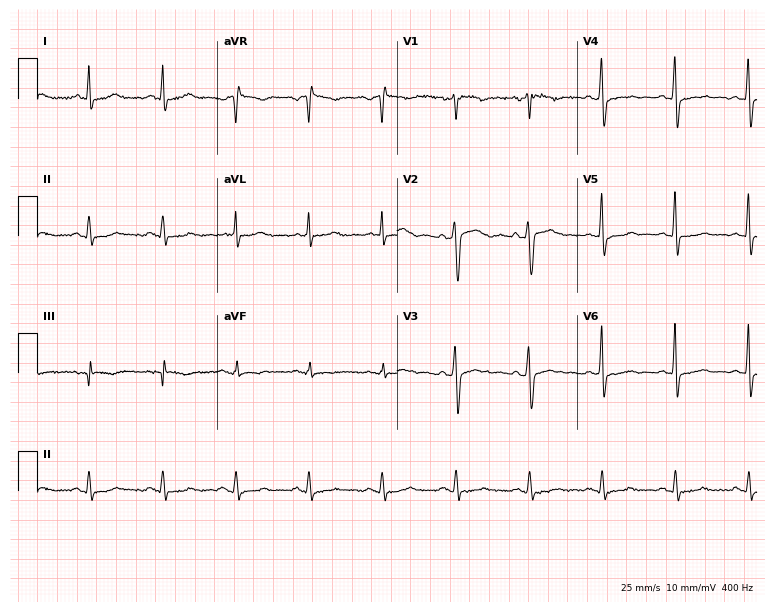
Resting 12-lead electrocardiogram (7.3-second recording at 400 Hz). Patient: a male, 59 years old. None of these six findings is recorded: first-degree AV block, right bundle branch block, left bundle branch block, sinus bradycardia, atrial fibrillation, sinus tachycardia.